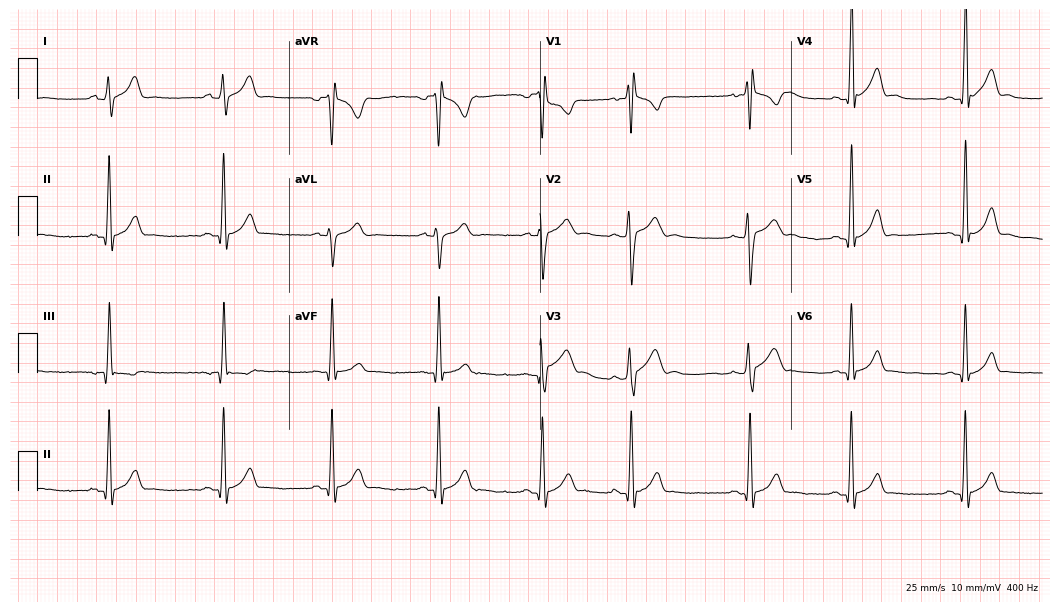
ECG (10.2-second recording at 400 Hz) — a female patient, 18 years old. Screened for six findings — first-degree AV block, right bundle branch block, left bundle branch block, sinus bradycardia, atrial fibrillation, sinus tachycardia — none is recorded. Other findings, if any, are not listed.